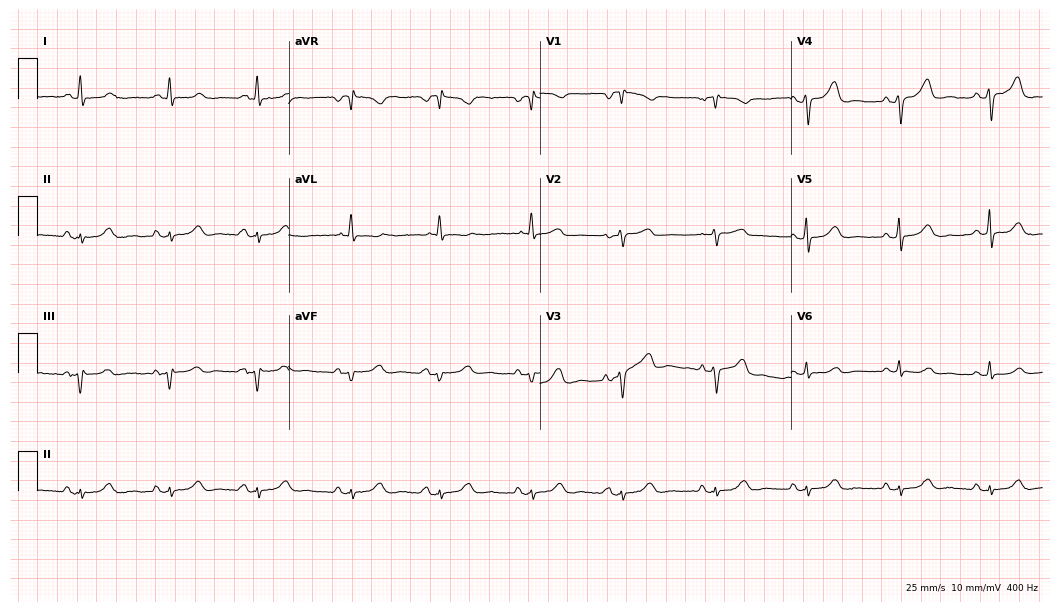
Resting 12-lead electrocardiogram. Patient: a 78-year-old female. Read as a normal ECG.